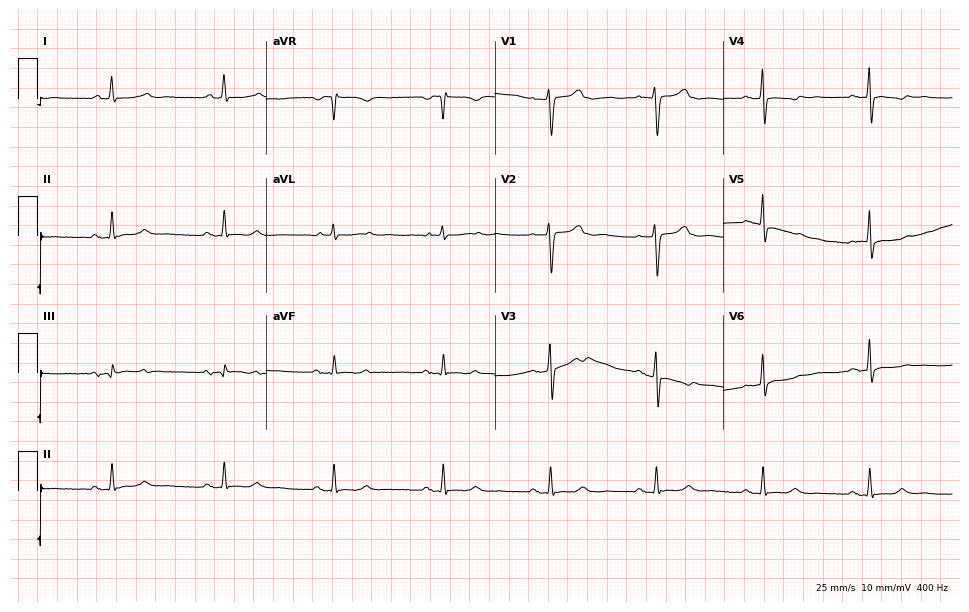
12-lead ECG (9.3-second recording at 400 Hz) from a female patient, 61 years old. Screened for six findings — first-degree AV block, right bundle branch block, left bundle branch block, sinus bradycardia, atrial fibrillation, sinus tachycardia — none is recorded.